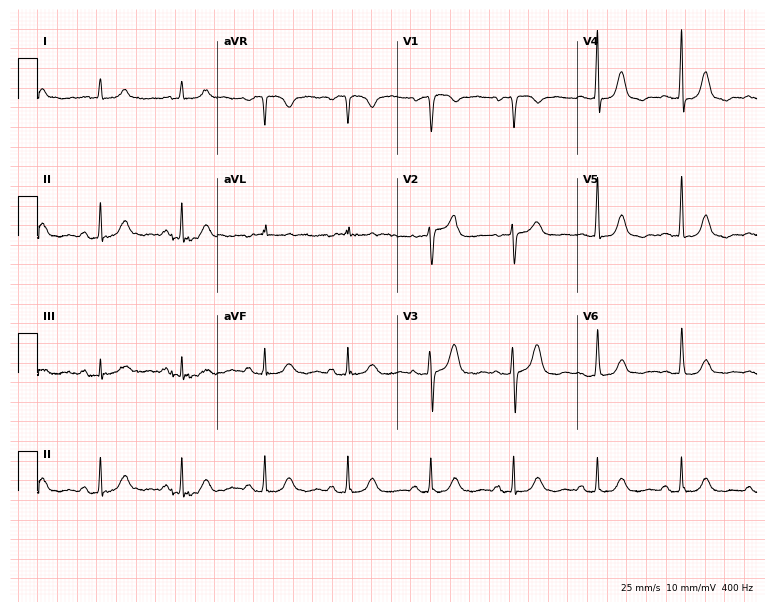
Electrocardiogram (7.3-second recording at 400 Hz), an 86-year-old woman. Overall reading on record: normal ECG.